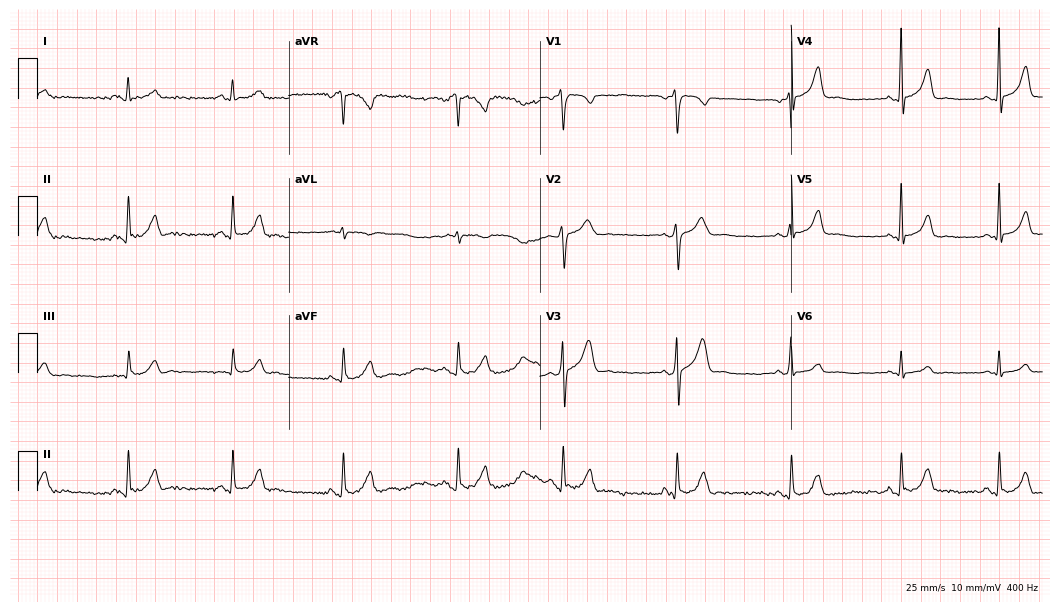
12-lead ECG from a 21-year-old male patient. Labelled as a normal ECG.